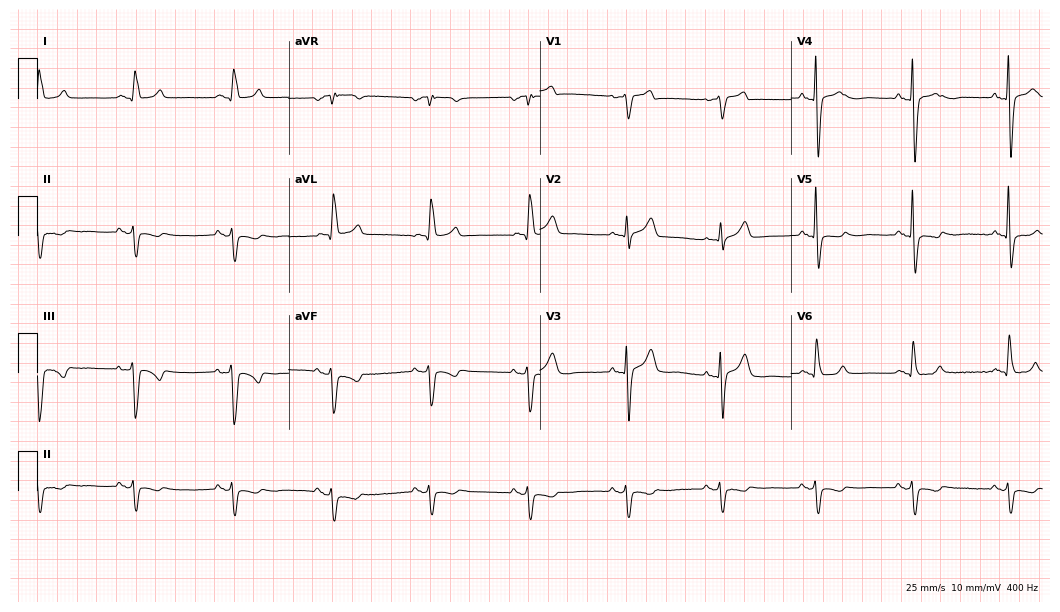
12-lead ECG (10.2-second recording at 400 Hz) from a man, 85 years old. Screened for six findings — first-degree AV block, right bundle branch block, left bundle branch block, sinus bradycardia, atrial fibrillation, sinus tachycardia — none is recorded. Findings outside these six are not listed.